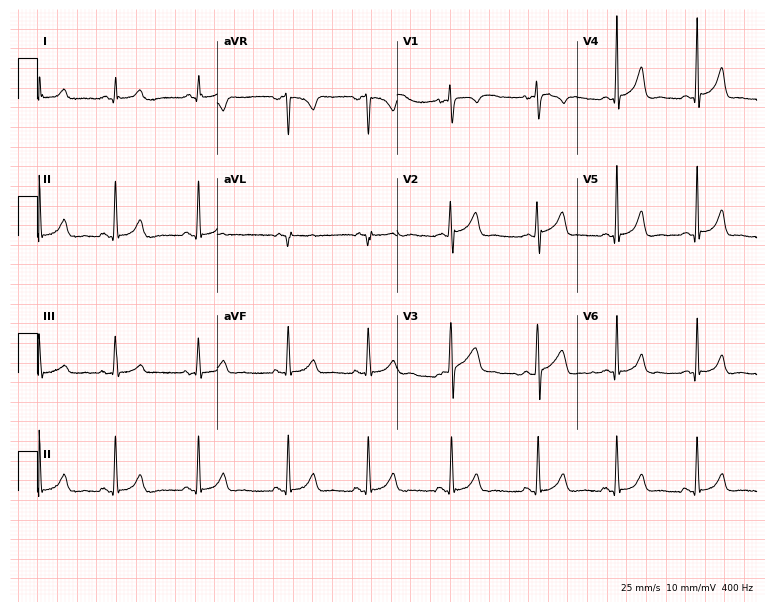
ECG (7.3-second recording at 400 Hz) — a woman, 19 years old. Labelled as a normal ECG.